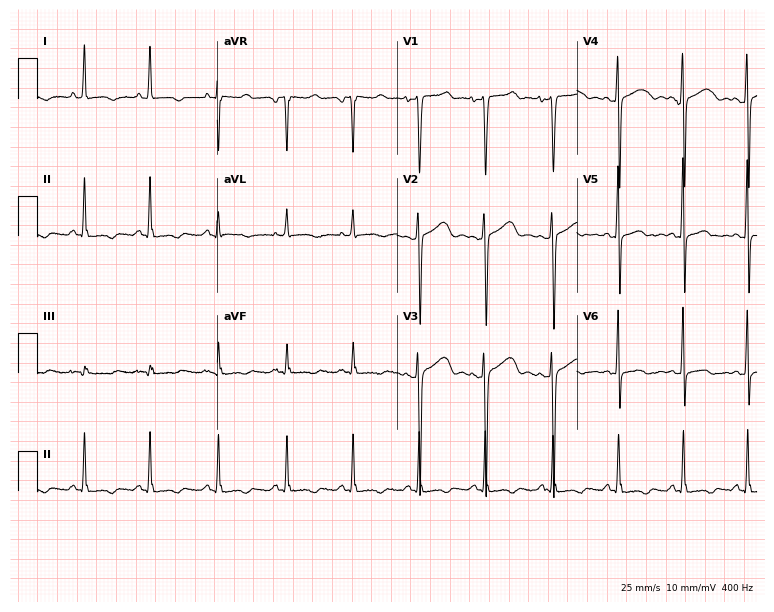
12-lead ECG from a 34-year-old female. No first-degree AV block, right bundle branch block (RBBB), left bundle branch block (LBBB), sinus bradycardia, atrial fibrillation (AF) or sinus tachycardia recorded for this tracing.